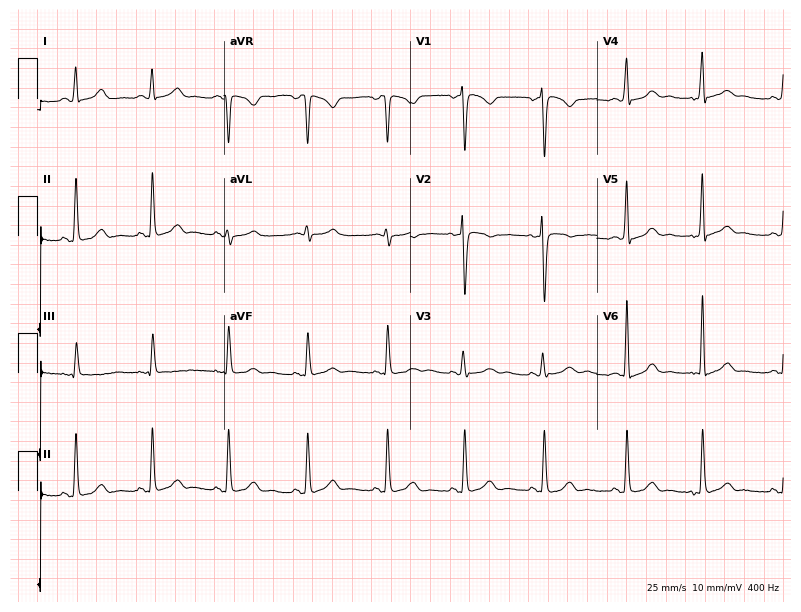
Standard 12-lead ECG recorded from a 36-year-old woman (7.6-second recording at 400 Hz). None of these six findings is recorded: first-degree AV block, right bundle branch block, left bundle branch block, sinus bradycardia, atrial fibrillation, sinus tachycardia.